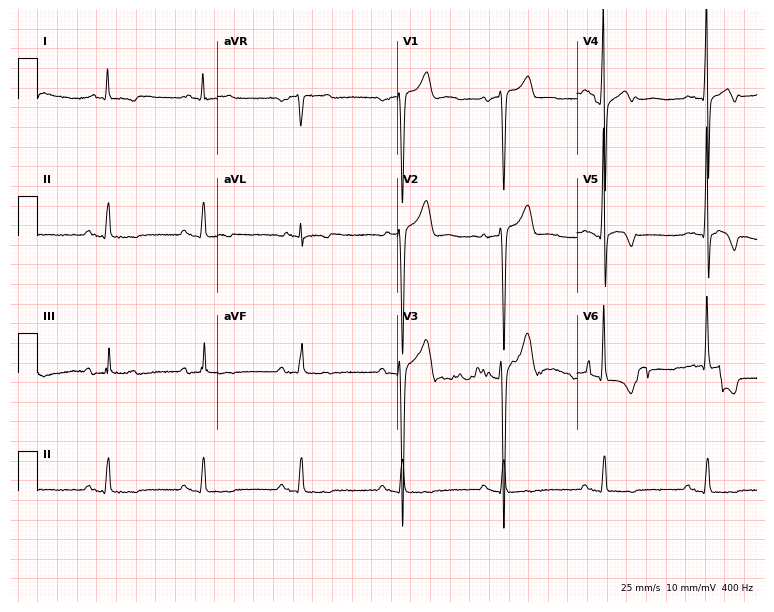
12-lead ECG (7.3-second recording at 400 Hz) from a male, 64 years old. Screened for six findings — first-degree AV block, right bundle branch block, left bundle branch block, sinus bradycardia, atrial fibrillation, sinus tachycardia — none is recorded. Other findings, if any, are not listed.